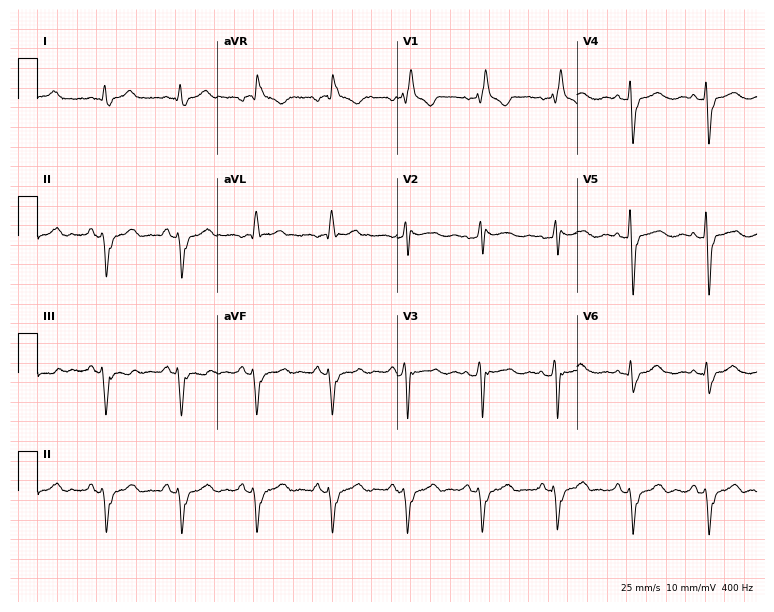
12-lead ECG (7.3-second recording at 400 Hz) from a 70-year-old man. Findings include right bundle branch block (RBBB).